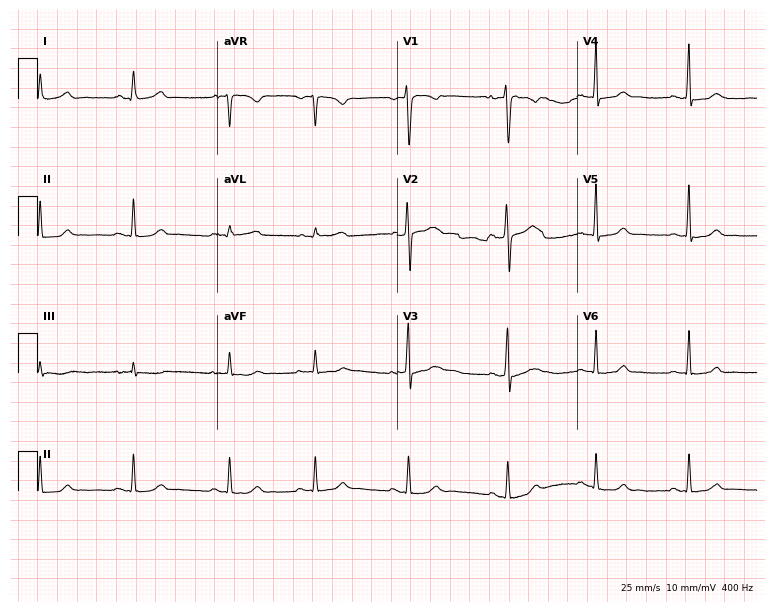
ECG (7.3-second recording at 400 Hz) — a female patient, 23 years old. Labelled as a normal ECG.